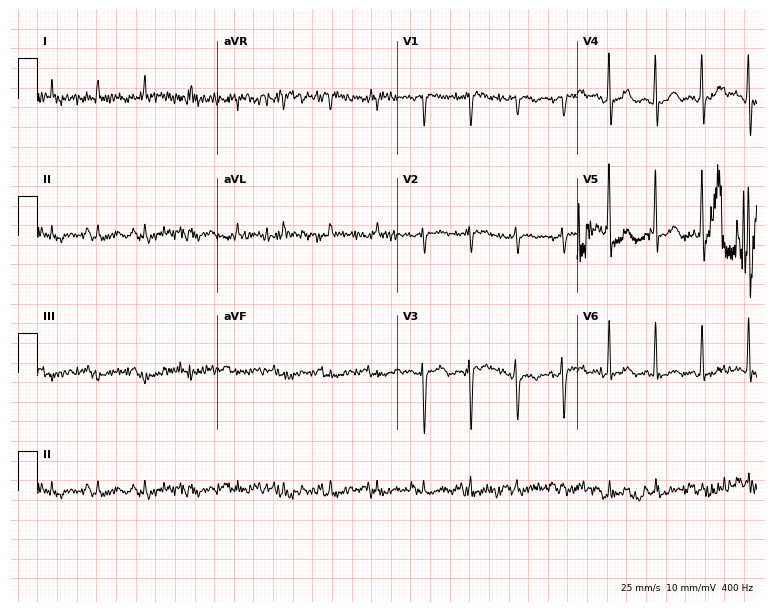
12-lead ECG from a 62-year-old male patient (7.3-second recording at 400 Hz). No first-degree AV block, right bundle branch block (RBBB), left bundle branch block (LBBB), sinus bradycardia, atrial fibrillation (AF) or sinus tachycardia recorded for this tracing. Other findings, if any, are not listed.